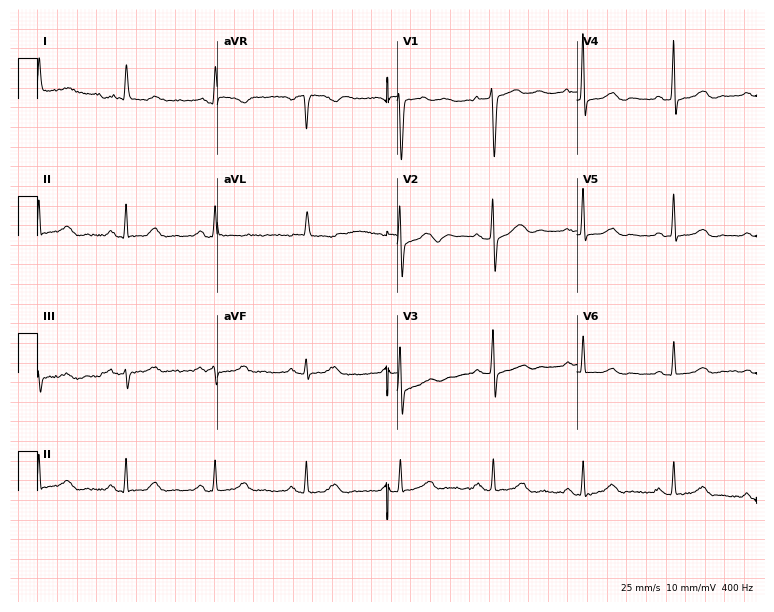
12-lead ECG from a 71-year-old woman. Screened for six findings — first-degree AV block, right bundle branch block (RBBB), left bundle branch block (LBBB), sinus bradycardia, atrial fibrillation (AF), sinus tachycardia — none is recorded.